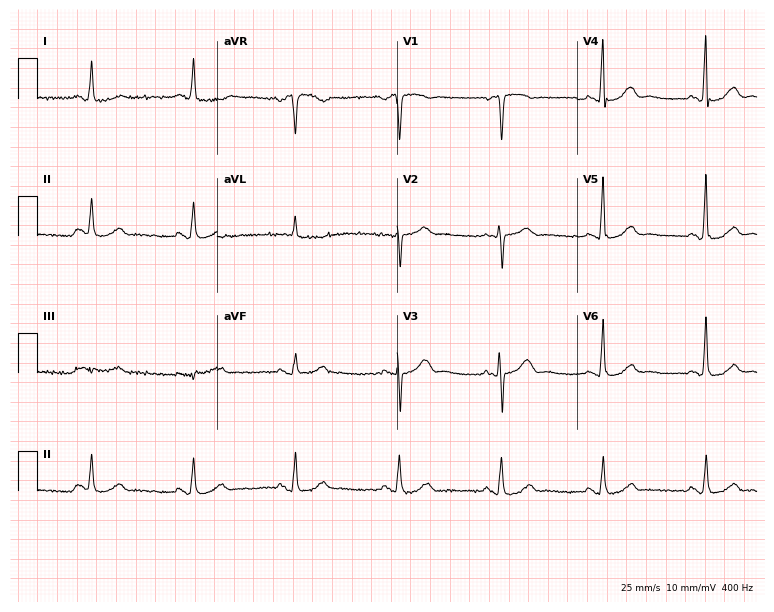
Resting 12-lead electrocardiogram. Patient: a woman, 74 years old. Read as a normal ECG.